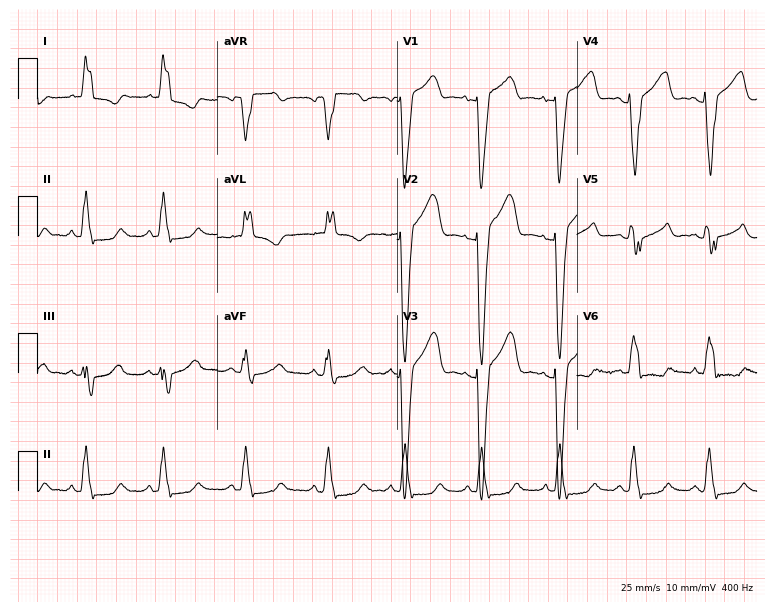
ECG (7.3-second recording at 400 Hz) — a female, 53 years old. Screened for six findings — first-degree AV block, right bundle branch block, left bundle branch block, sinus bradycardia, atrial fibrillation, sinus tachycardia — none is recorded. Other findings, if any, are not listed.